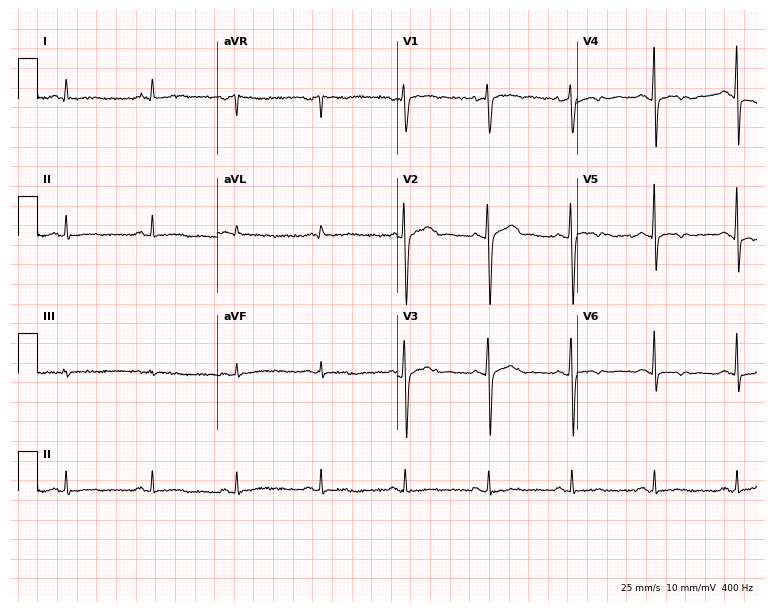
Standard 12-lead ECG recorded from a 58-year-old man (7.3-second recording at 400 Hz). None of these six findings is recorded: first-degree AV block, right bundle branch block, left bundle branch block, sinus bradycardia, atrial fibrillation, sinus tachycardia. Findings outside these six are not listed.